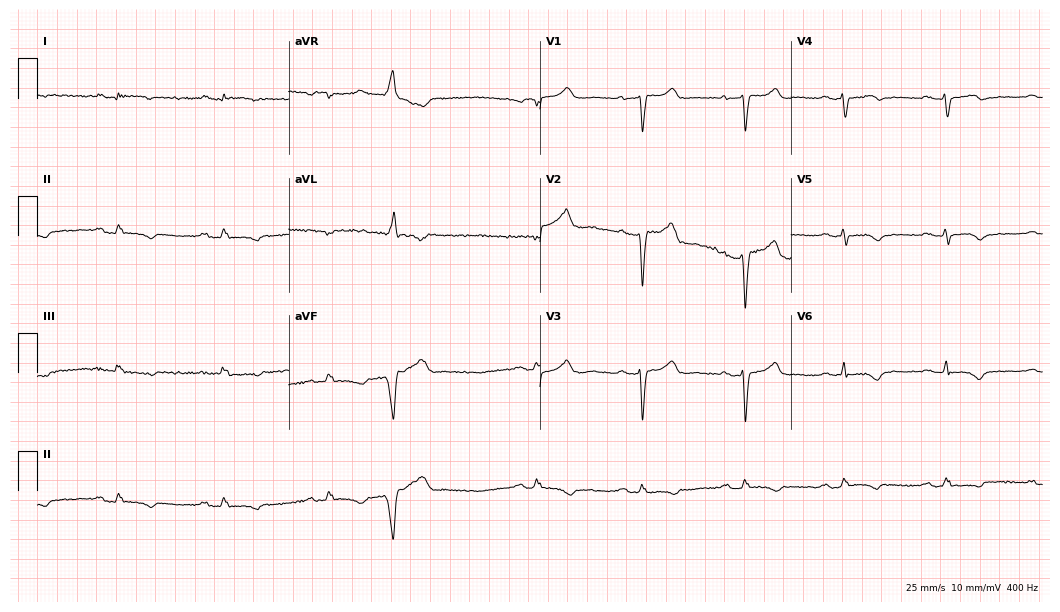
Resting 12-lead electrocardiogram (10.2-second recording at 400 Hz). Patient: a 49-year-old female. Read as a normal ECG.